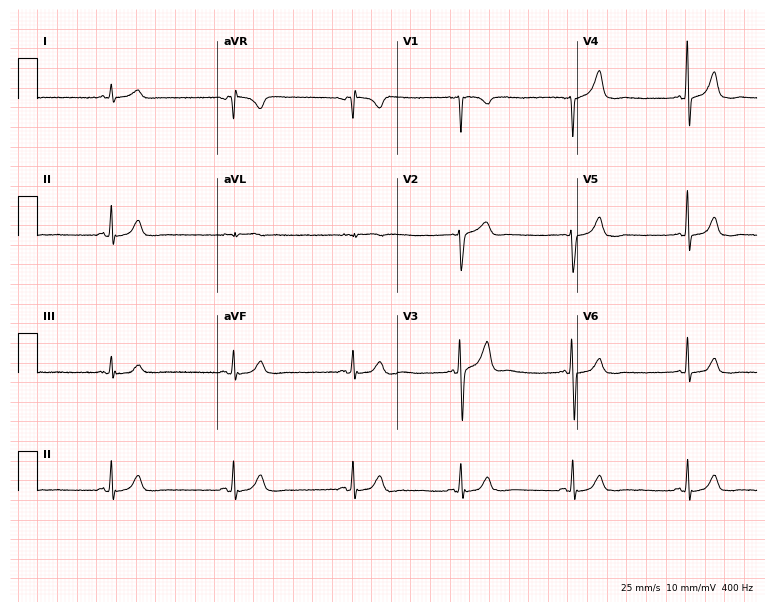
Standard 12-lead ECG recorded from a man, 63 years old. Read as a normal ECG.